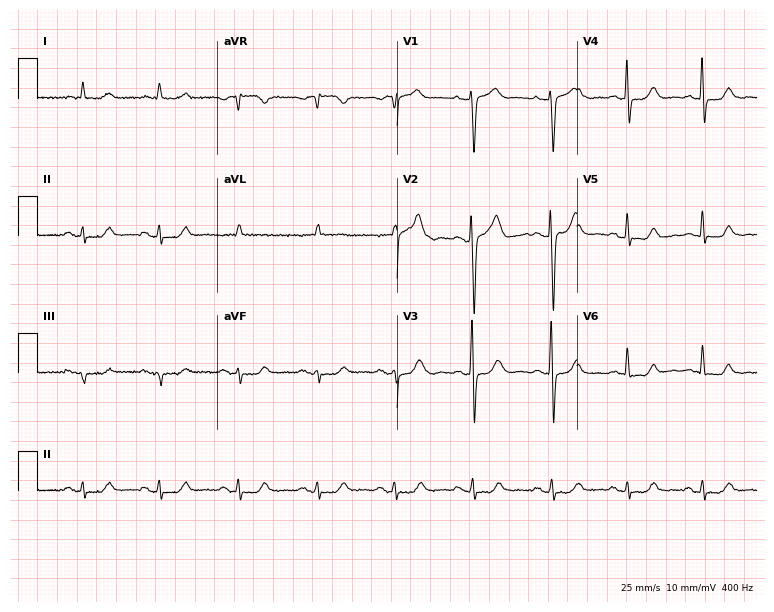
12-lead ECG from an 84-year-old female patient. Labelled as a normal ECG.